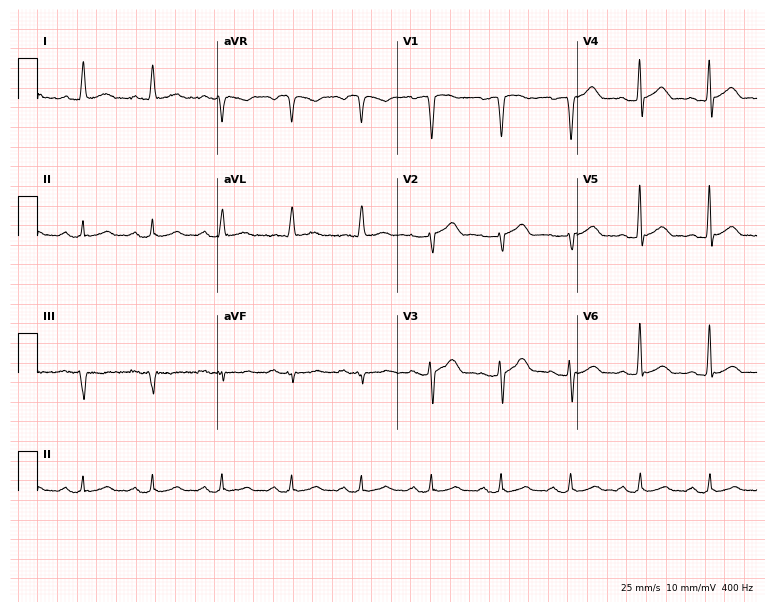
ECG (7.3-second recording at 400 Hz) — a 57-year-old female patient. Labelled as a normal ECG.